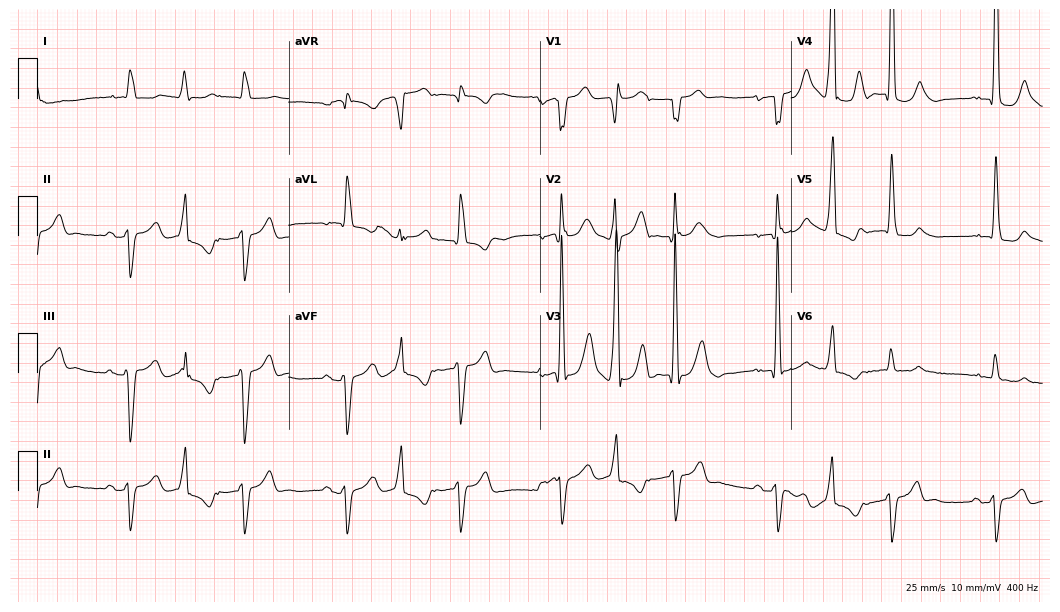
12-lead ECG (10.2-second recording at 400 Hz) from a male, 85 years old. Screened for six findings — first-degree AV block, right bundle branch block (RBBB), left bundle branch block (LBBB), sinus bradycardia, atrial fibrillation (AF), sinus tachycardia — none is recorded. Findings outside these six are not listed.